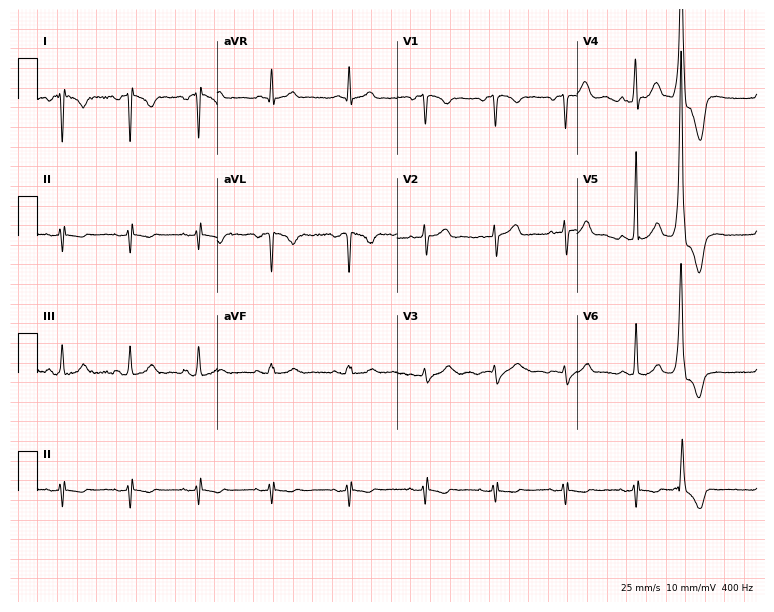
12-lead ECG from a 39-year-old male. Screened for six findings — first-degree AV block, right bundle branch block, left bundle branch block, sinus bradycardia, atrial fibrillation, sinus tachycardia — none is recorded.